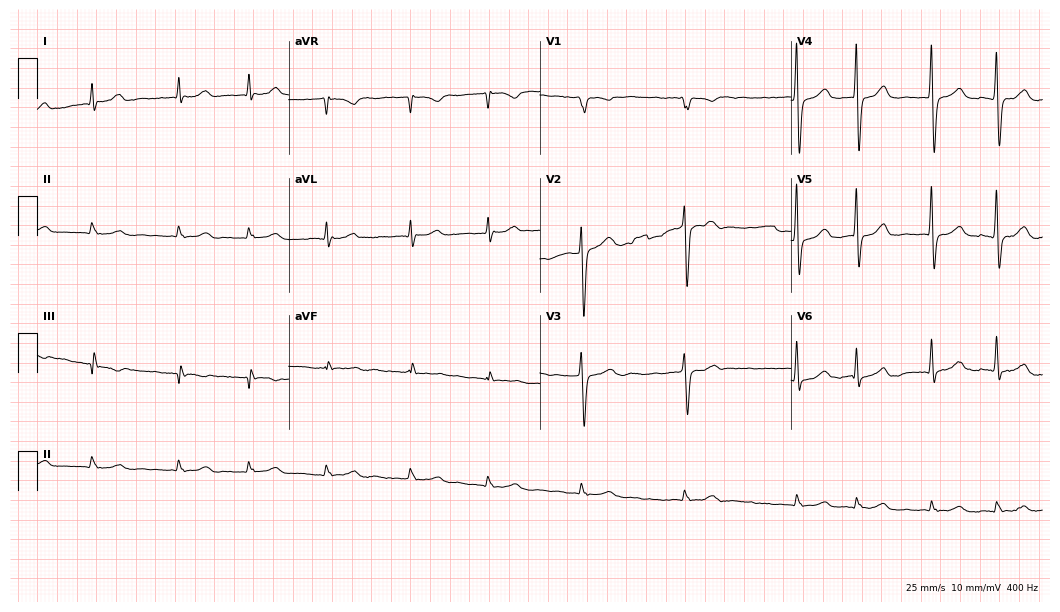
ECG (10.2-second recording at 400 Hz) — a male, 76 years old. Findings include atrial fibrillation.